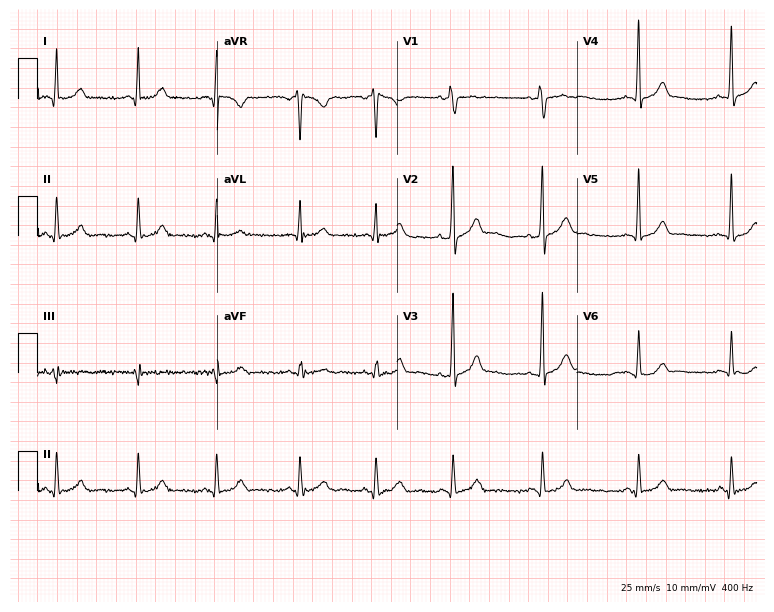
ECG — a man, 30 years old. Screened for six findings — first-degree AV block, right bundle branch block, left bundle branch block, sinus bradycardia, atrial fibrillation, sinus tachycardia — none is recorded.